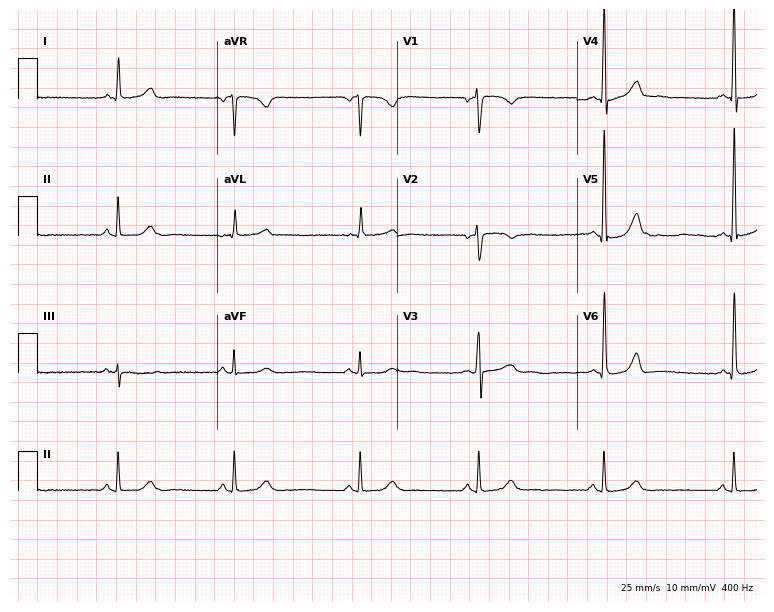
ECG — a 50-year-old female patient. Screened for six findings — first-degree AV block, right bundle branch block, left bundle branch block, sinus bradycardia, atrial fibrillation, sinus tachycardia — none is recorded. Other findings, if any, are not listed.